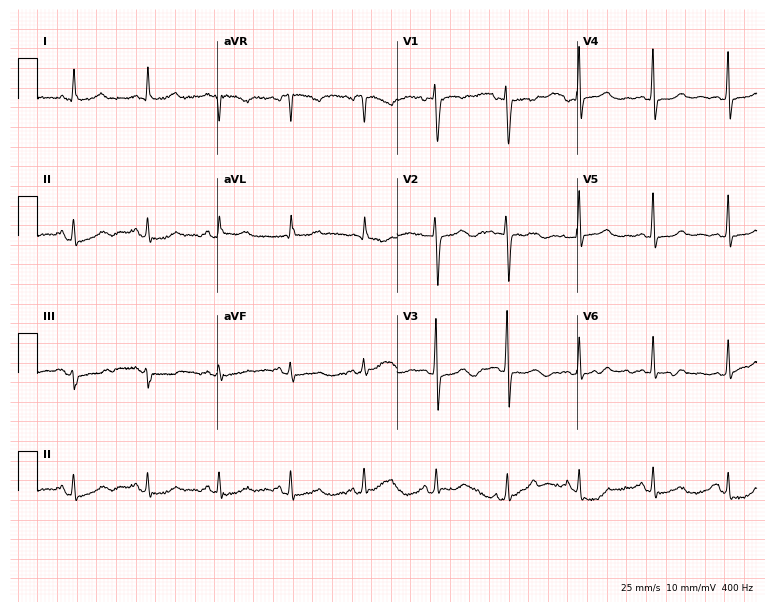
Electrocardiogram, a female, 80 years old. Overall reading on record: normal ECG.